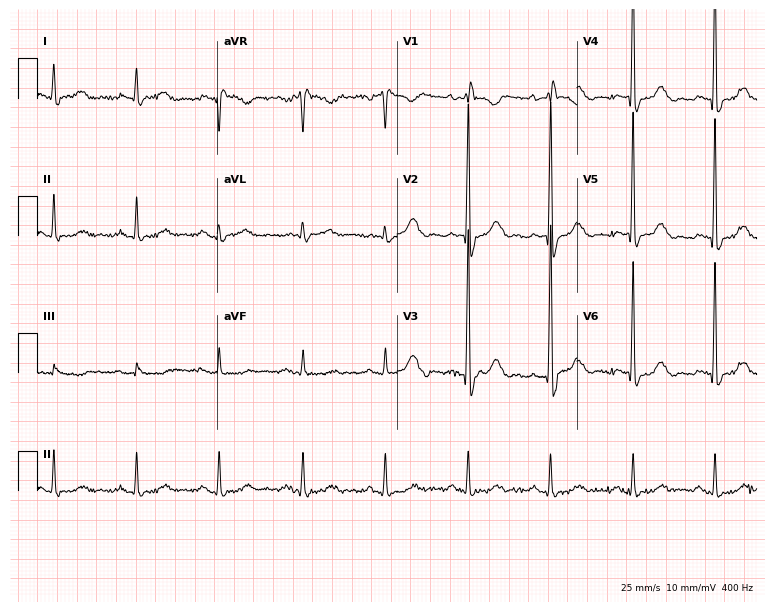
Electrocardiogram (7.3-second recording at 400 Hz), a male patient, 84 years old. Interpretation includes right bundle branch block (RBBB).